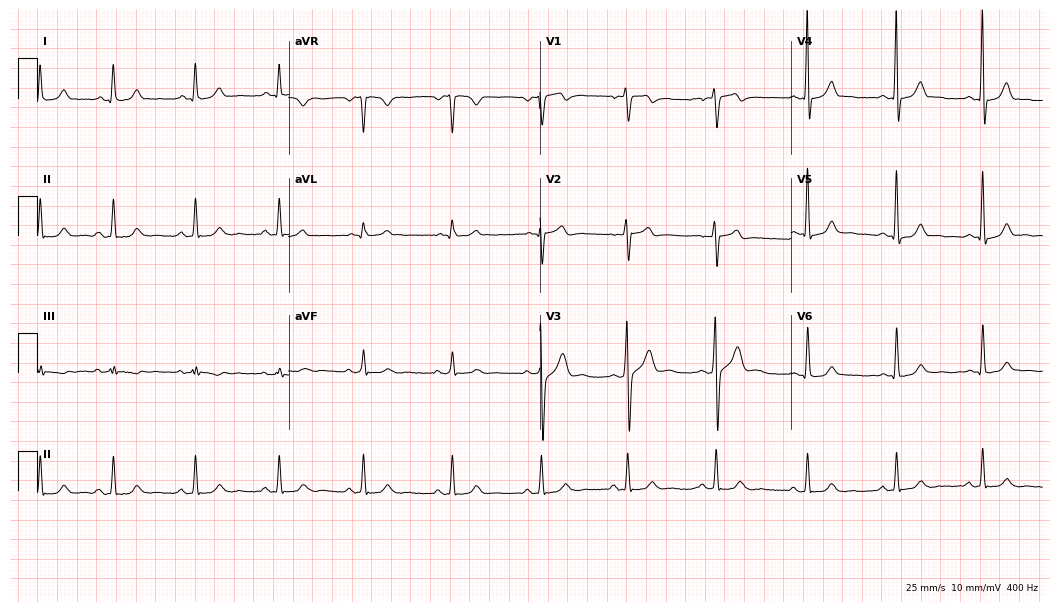
ECG (10.2-second recording at 400 Hz) — a 21-year-old male. Labelled as a normal ECG.